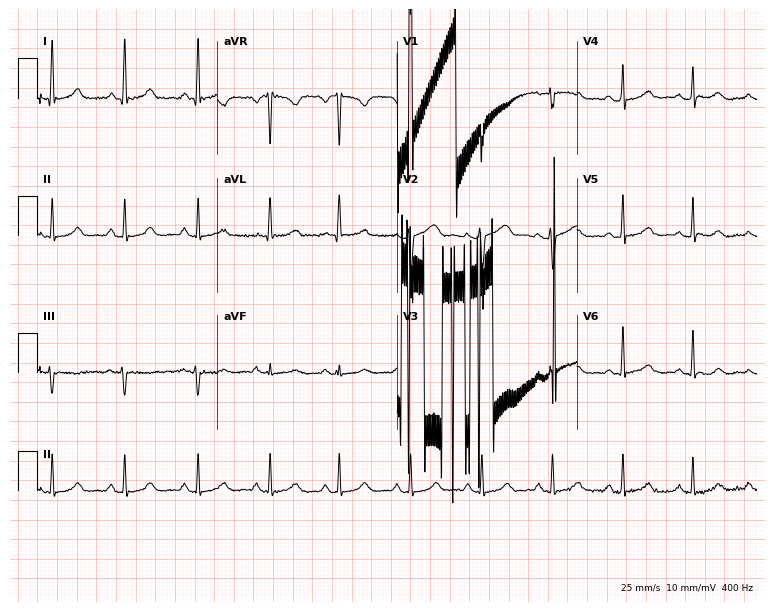
Standard 12-lead ECG recorded from a 37-year-old woman. None of these six findings is recorded: first-degree AV block, right bundle branch block (RBBB), left bundle branch block (LBBB), sinus bradycardia, atrial fibrillation (AF), sinus tachycardia.